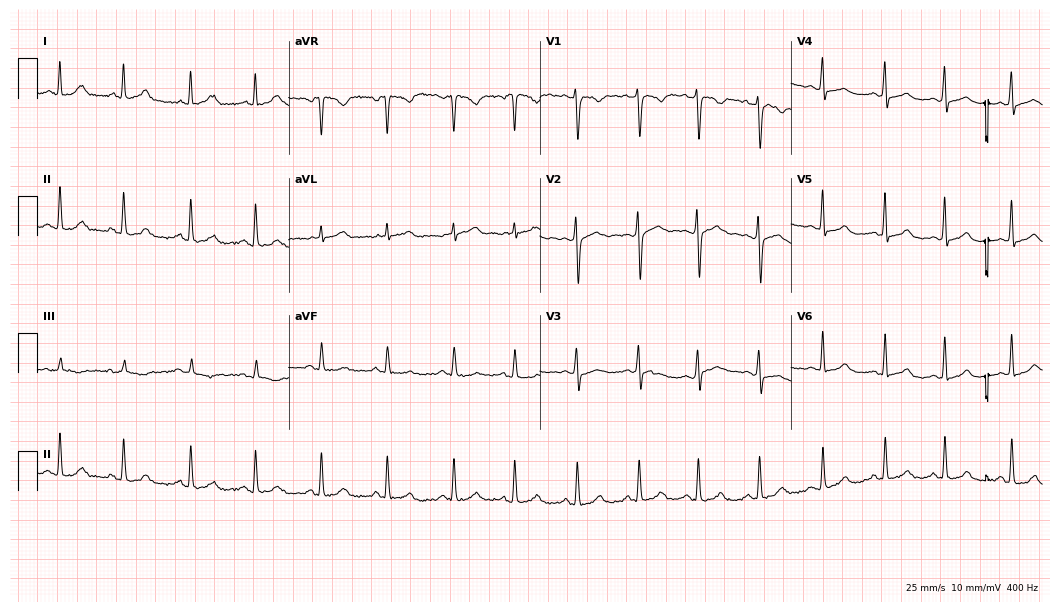
ECG (10.2-second recording at 400 Hz) — a 33-year-old woman. Labelled as a normal ECG.